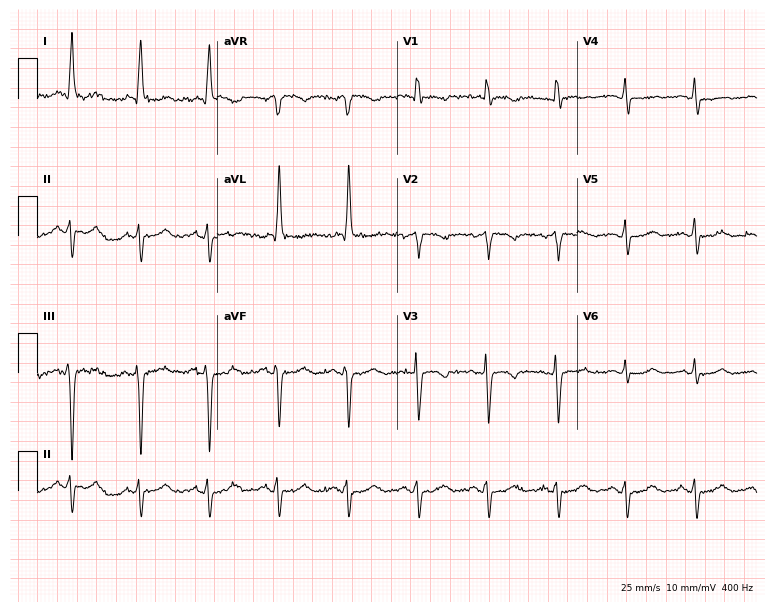
Resting 12-lead electrocardiogram (7.3-second recording at 400 Hz). Patient: a female, 74 years old. None of these six findings is recorded: first-degree AV block, right bundle branch block, left bundle branch block, sinus bradycardia, atrial fibrillation, sinus tachycardia. Findings outside these six are not listed.